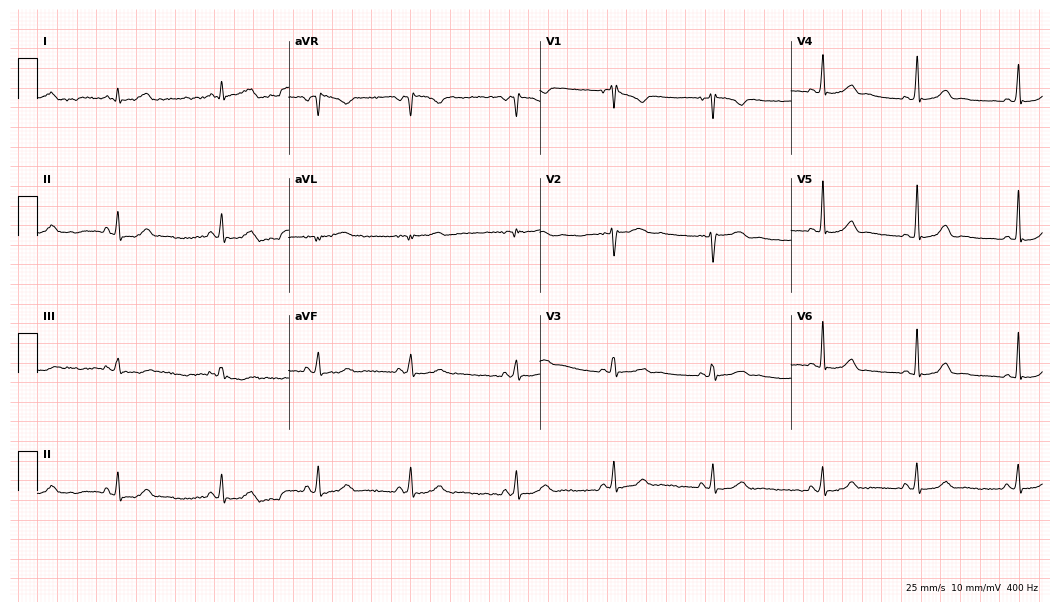
12-lead ECG (10.2-second recording at 400 Hz) from a female patient, 20 years old. Labelled as a normal ECG.